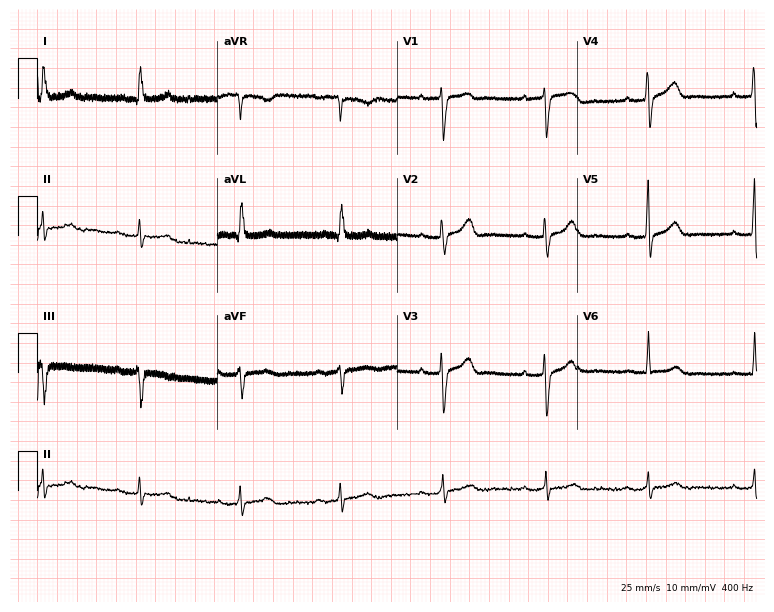
Electrocardiogram, a male, 73 years old. Overall reading on record: normal ECG.